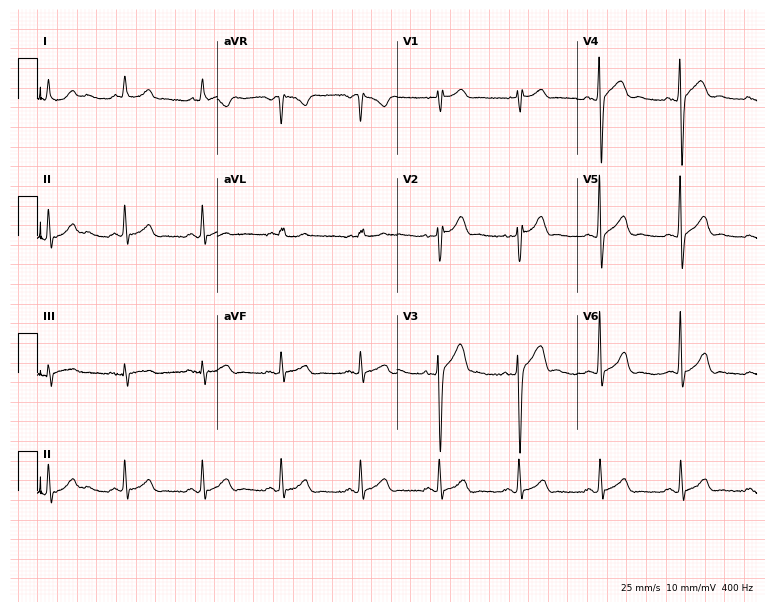
12-lead ECG from a 33-year-old male patient. Labelled as a normal ECG.